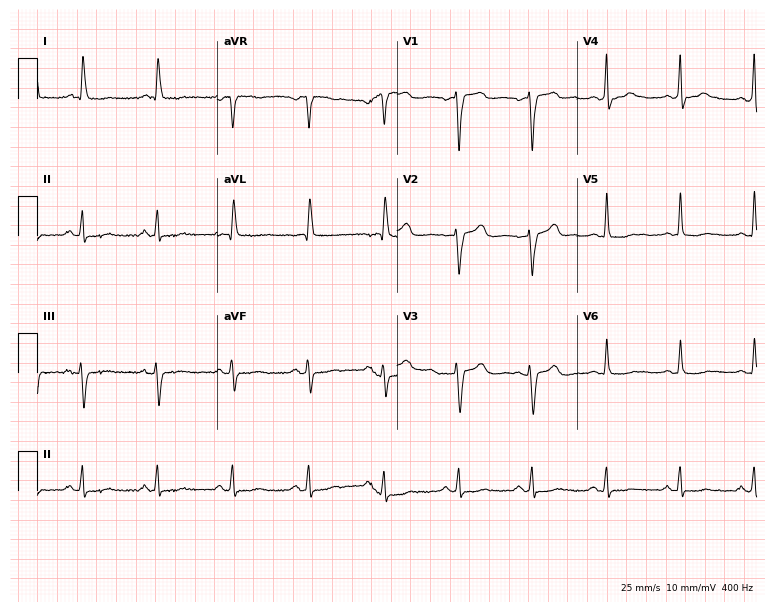
Standard 12-lead ECG recorded from a female, 65 years old (7.3-second recording at 400 Hz). None of these six findings is recorded: first-degree AV block, right bundle branch block, left bundle branch block, sinus bradycardia, atrial fibrillation, sinus tachycardia. Only these six findings were labelled.